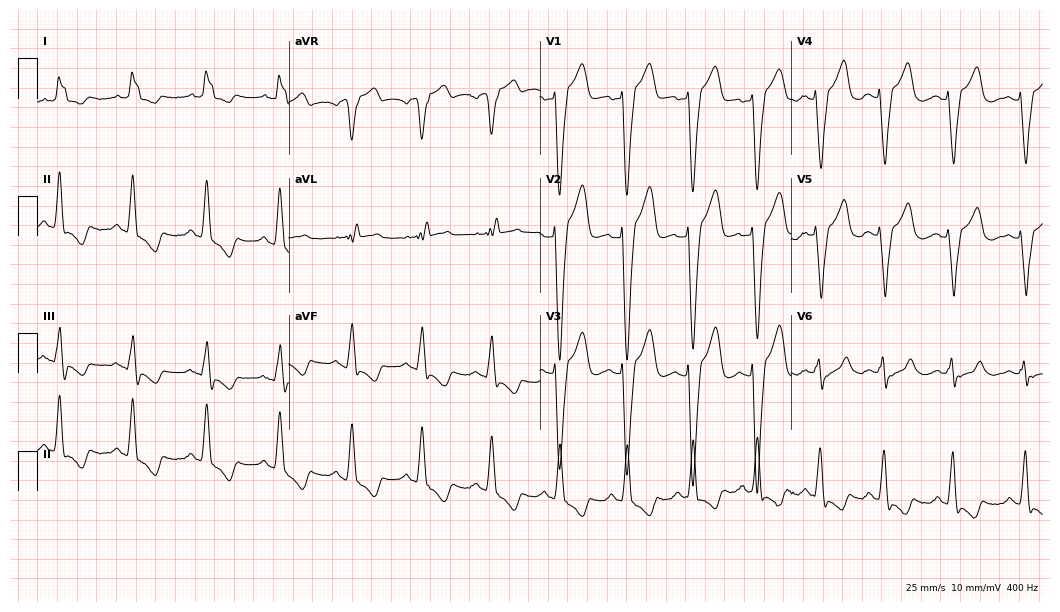
12-lead ECG from a woman, 60 years old. Findings include left bundle branch block (LBBB).